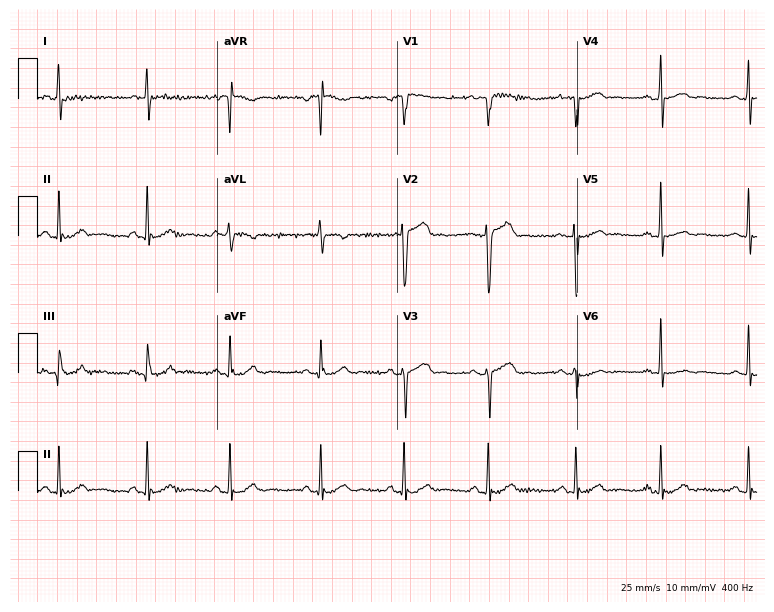
12-lead ECG from a 37-year-old man (7.3-second recording at 400 Hz). Recorded interpretation: within normal limits.